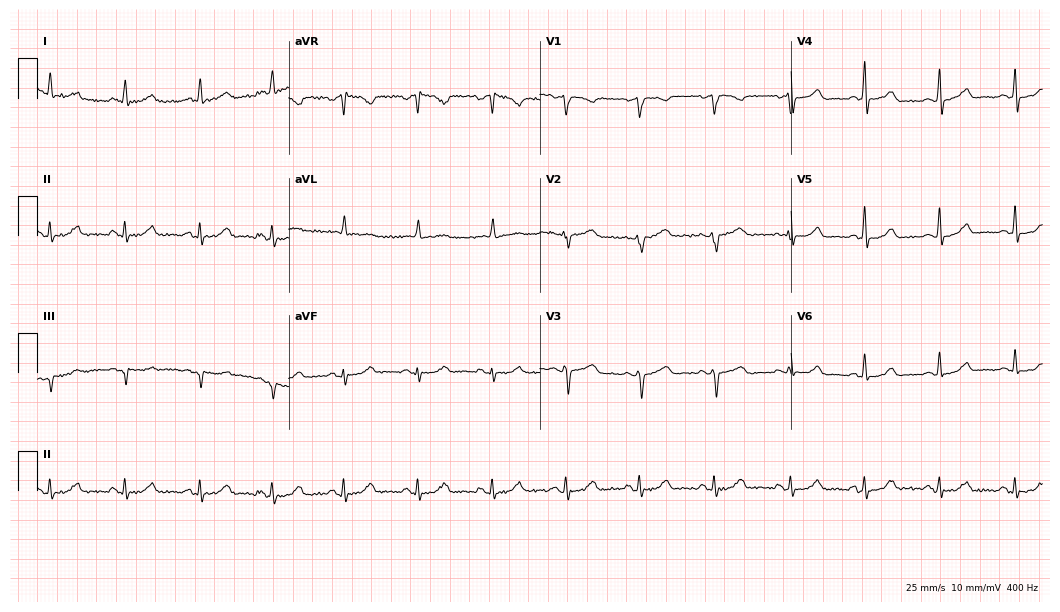
ECG (10.2-second recording at 400 Hz) — a 43-year-old woman. Screened for six findings — first-degree AV block, right bundle branch block, left bundle branch block, sinus bradycardia, atrial fibrillation, sinus tachycardia — none is recorded.